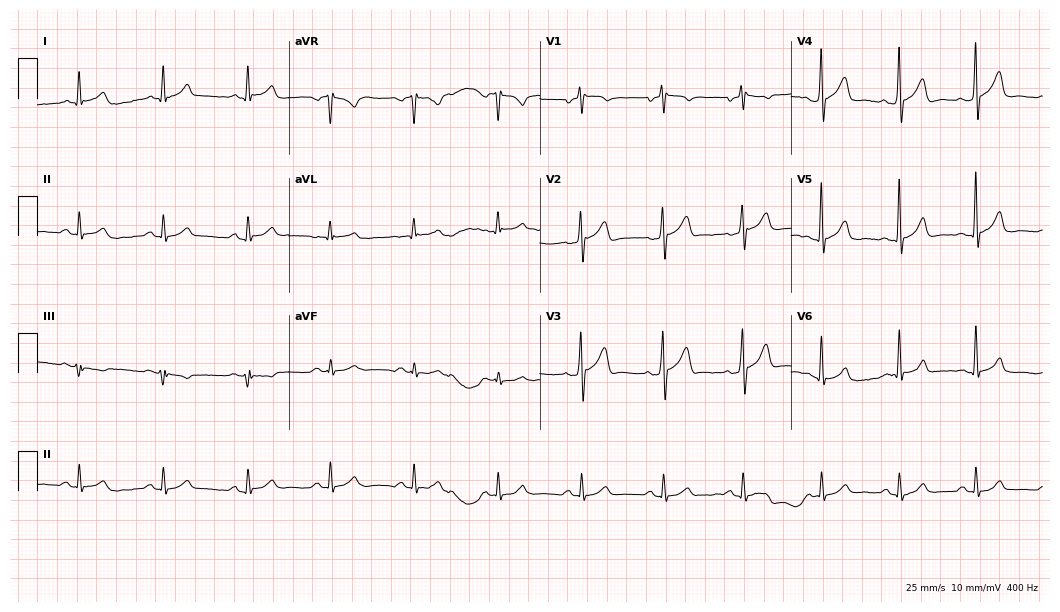
12-lead ECG from a man, 59 years old. Recorded interpretation: within normal limits.